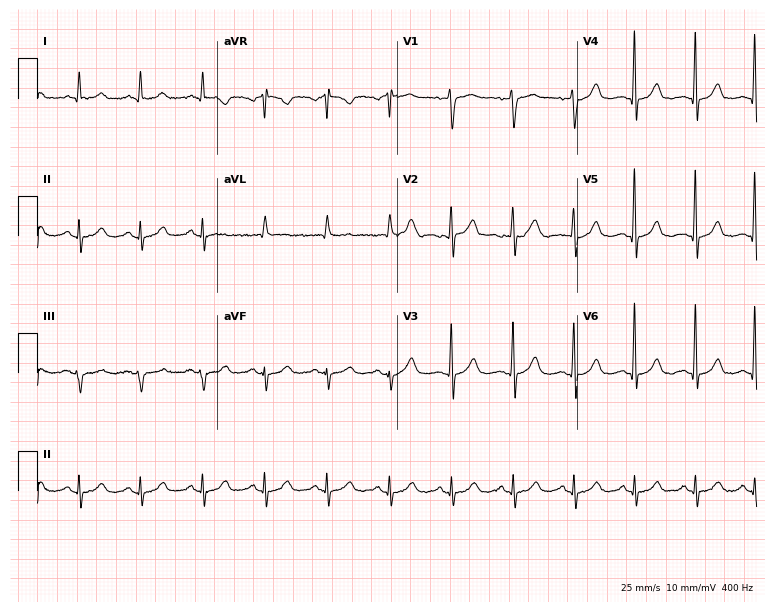
ECG (7.3-second recording at 400 Hz) — a 70-year-old male patient. Screened for six findings — first-degree AV block, right bundle branch block, left bundle branch block, sinus bradycardia, atrial fibrillation, sinus tachycardia — none is recorded. Only these six findings were labelled.